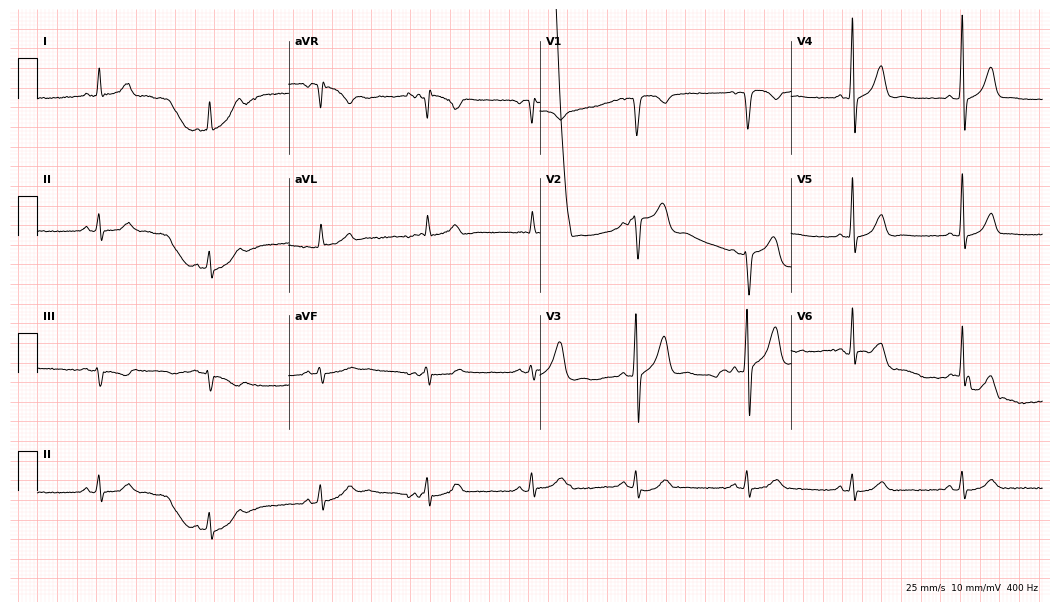
Electrocardiogram, a 49-year-old man. Of the six screened findings (first-degree AV block, right bundle branch block, left bundle branch block, sinus bradycardia, atrial fibrillation, sinus tachycardia), none is recorded. Only these six findings were labelled.